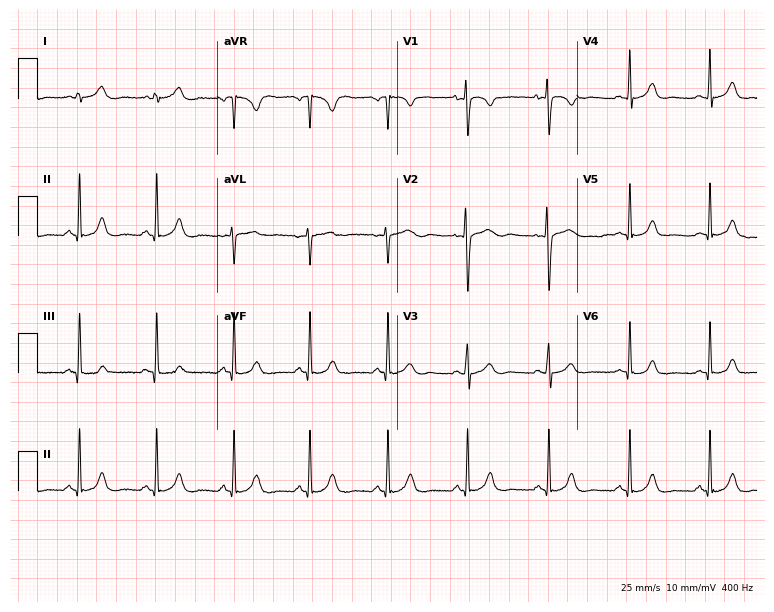
ECG — an 18-year-old woman. Labelled as a normal ECG.